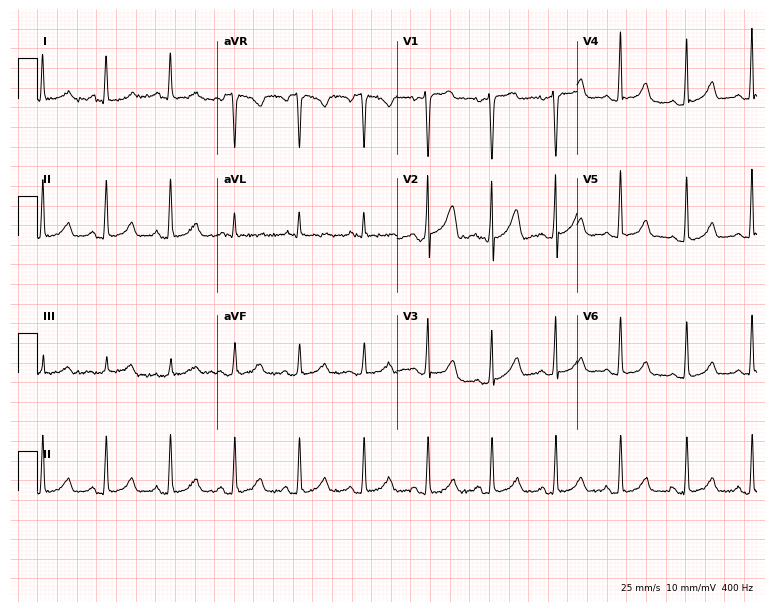
12-lead ECG (7.3-second recording at 400 Hz) from a 44-year-old female. Labelled as a normal ECG.